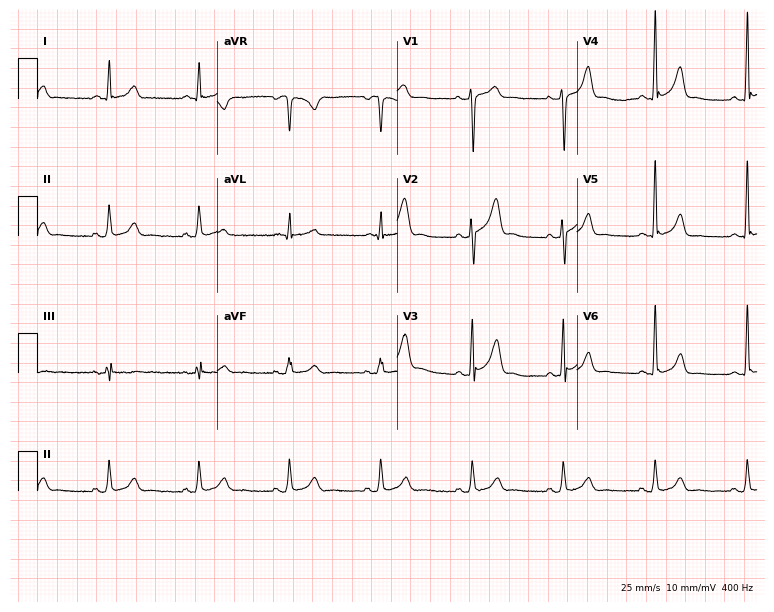
Standard 12-lead ECG recorded from a male, 55 years old (7.3-second recording at 400 Hz). None of these six findings is recorded: first-degree AV block, right bundle branch block (RBBB), left bundle branch block (LBBB), sinus bradycardia, atrial fibrillation (AF), sinus tachycardia. Findings outside these six are not listed.